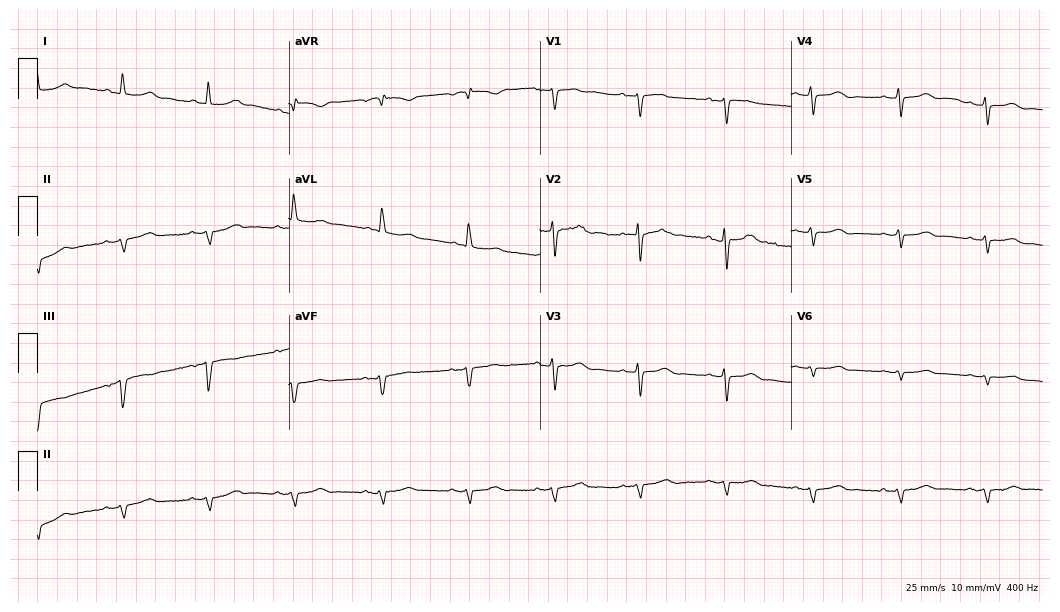
12-lead ECG from a woman, 83 years old. No first-degree AV block, right bundle branch block, left bundle branch block, sinus bradycardia, atrial fibrillation or sinus tachycardia recorded for this tracing.